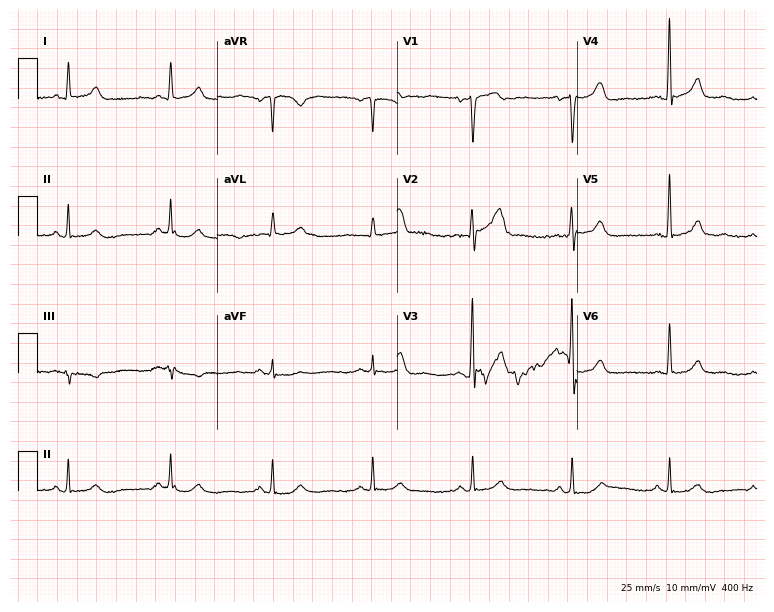
12-lead ECG from a male, 68 years old (7.3-second recording at 400 Hz). No first-degree AV block, right bundle branch block (RBBB), left bundle branch block (LBBB), sinus bradycardia, atrial fibrillation (AF) or sinus tachycardia recorded for this tracing.